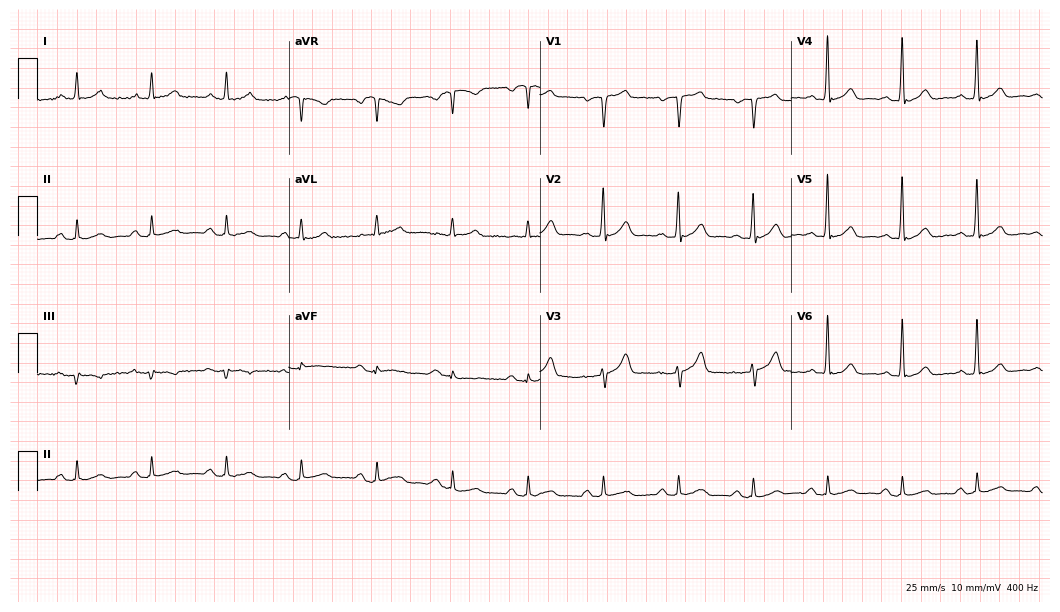
12-lead ECG (10.2-second recording at 400 Hz) from a 43-year-old man. Labelled as a normal ECG.